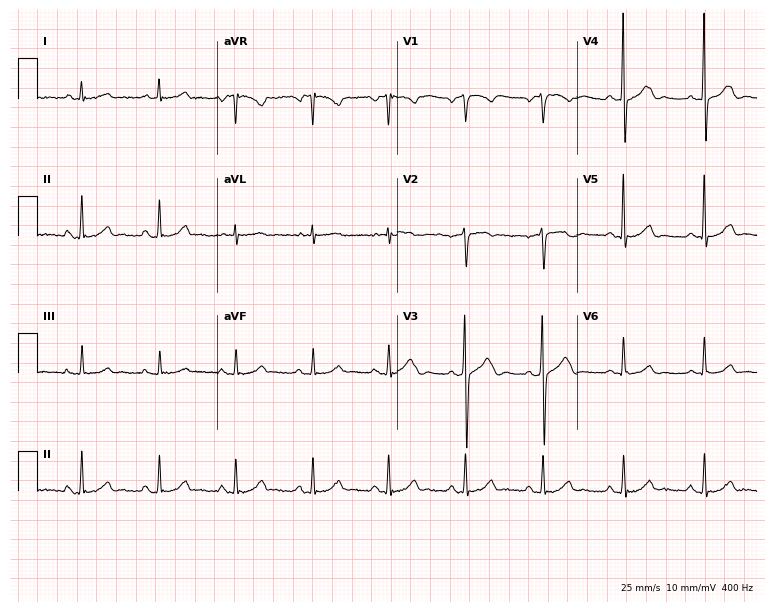
Standard 12-lead ECG recorded from a male patient, 59 years old. Read as a normal ECG.